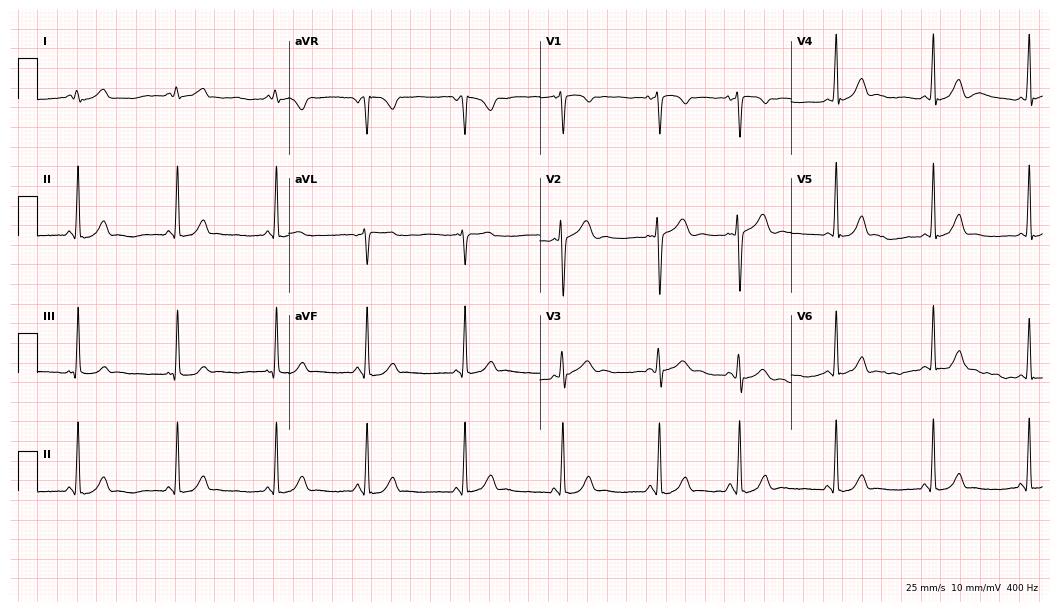
12-lead ECG (10.2-second recording at 400 Hz) from a woman, 18 years old. Screened for six findings — first-degree AV block, right bundle branch block, left bundle branch block, sinus bradycardia, atrial fibrillation, sinus tachycardia — none is recorded.